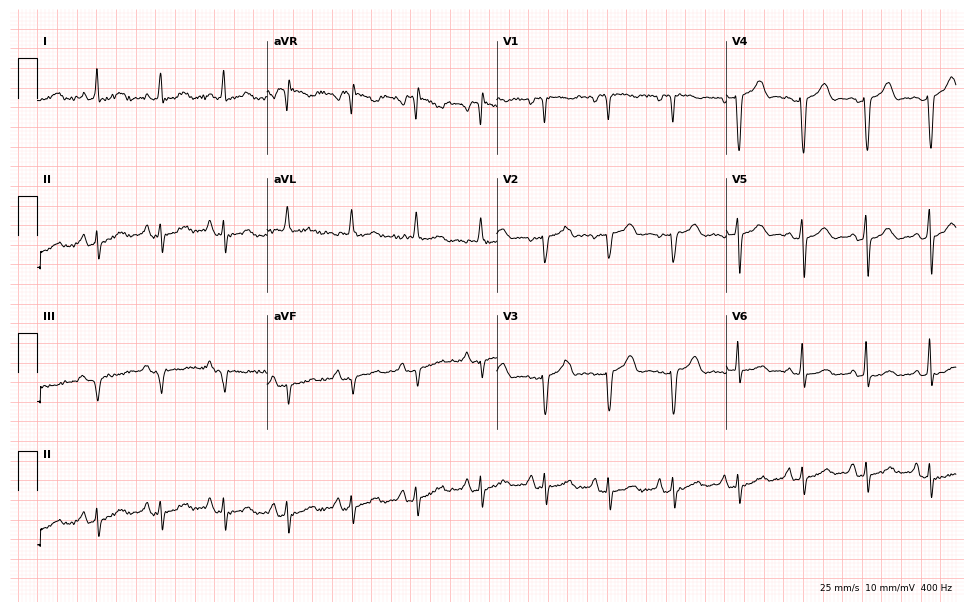
12-lead ECG (9.4-second recording at 400 Hz) from a 72-year-old female patient. Screened for six findings — first-degree AV block, right bundle branch block (RBBB), left bundle branch block (LBBB), sinus bradycardia, atrial fibrillation (AF), sinus tachycardia — none is recorded. Findings outside these six are not listed.